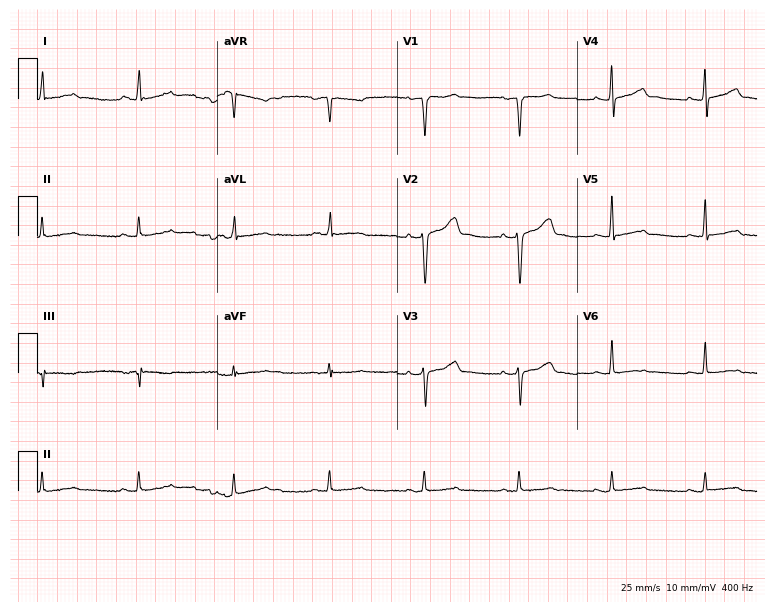
Electrocardiogram (7.3-second recording at 400 Hz), a 68-year-old male patient. Of the six screened findings (first-degree AV block, right bundle branch block (RBBB), left bundle branch block (LBBB), sinus bradycardia, atrial fibrillation (AF), sinus tachycardia), none is recorded.